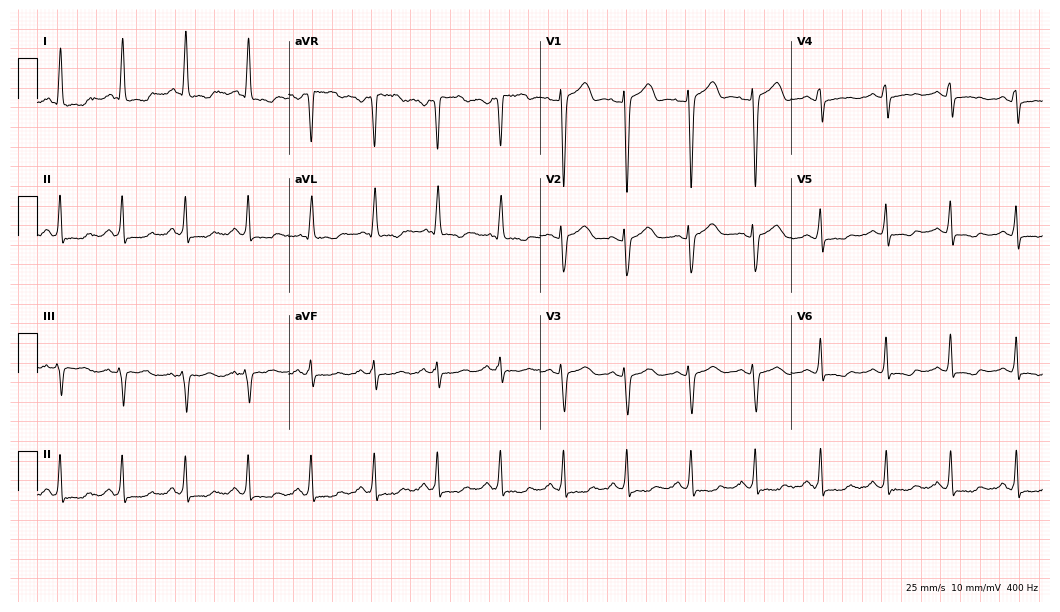
Resting 12-lead electrocardiogram. Patient: a 66-year-old woman. None of these six findings is recorded: first-degree AV block, right bundle branch block, left bundle branch block, sinus bradycardia, atrial fibrillation, sinus tachycardia.